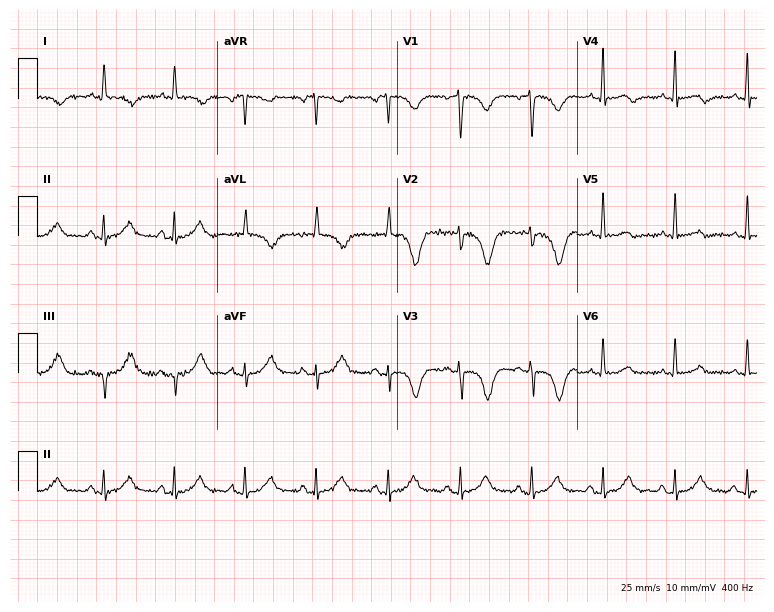
ECG — a woman, 75 years old. Screened for six findings — first-degree AV block, right bundle branch block (RBBB), left bundle branch block (LBBB), sinus bradycardia, atrial fibrillation (AF), sinus tachycardia — none is recorded.